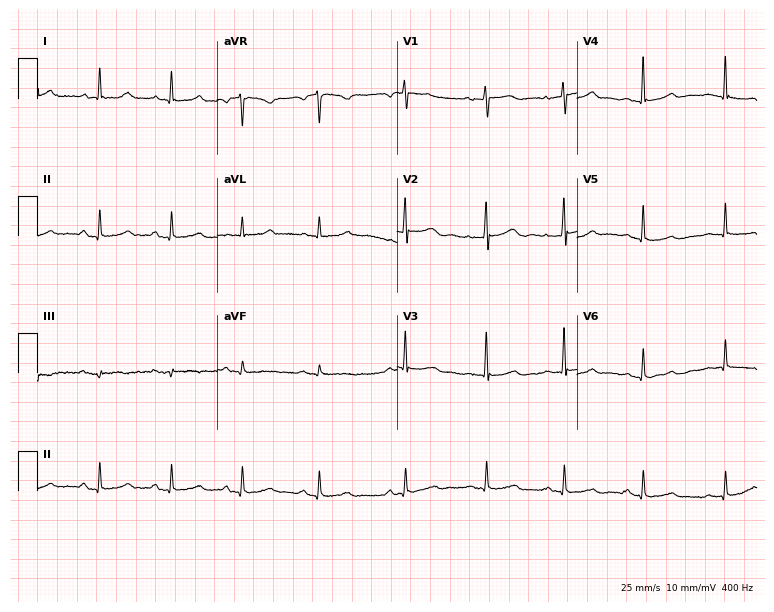
Resting 12-lead electrocardiogram. Patient: an 83-year-old female. None of these six findings is recorded: first-degree AV block, right bundle branch block, left bundle branch block, sinus bradycardia, atrial fibrillation, sinus tachycardia.